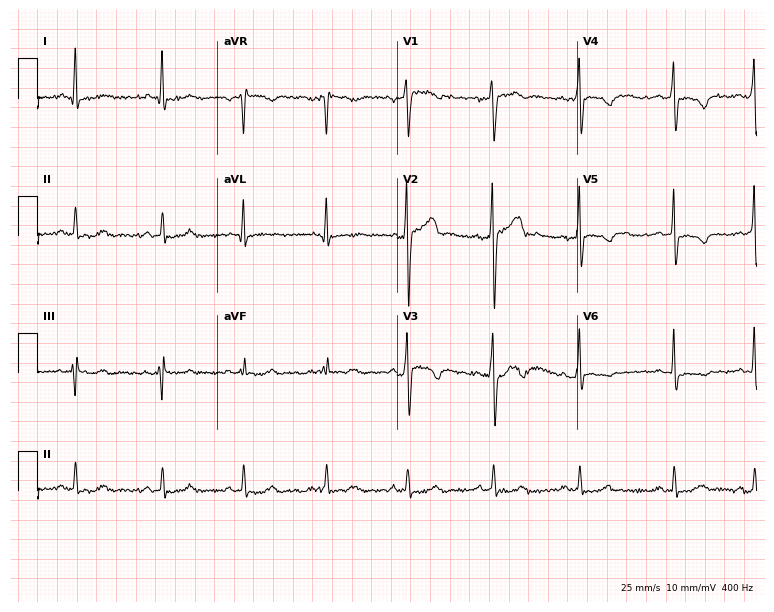
ECG (7.3-second recording at 400 Hz) — a 33-year-old man. Screened for six findings — first-degree AV block, right bundle branch block (RBBB), left bundle branch block (LBBB), sinus bradycardia, atrial fibrillation (AF), sinus tachycardia — none is recorded.